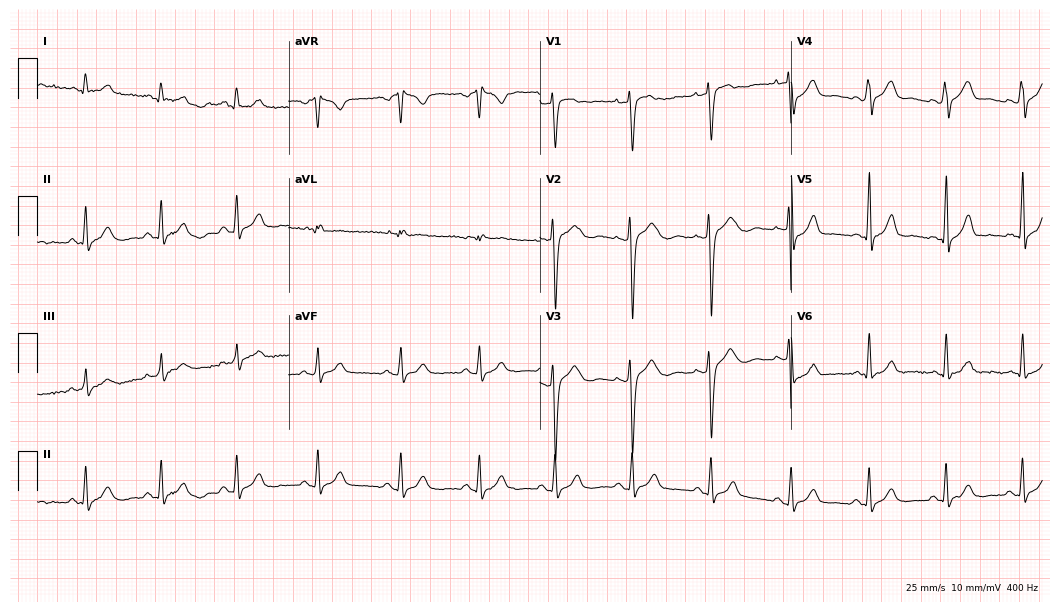
12-lead ECG from a 32-year-old female patient. Labelled as a normal ECG.